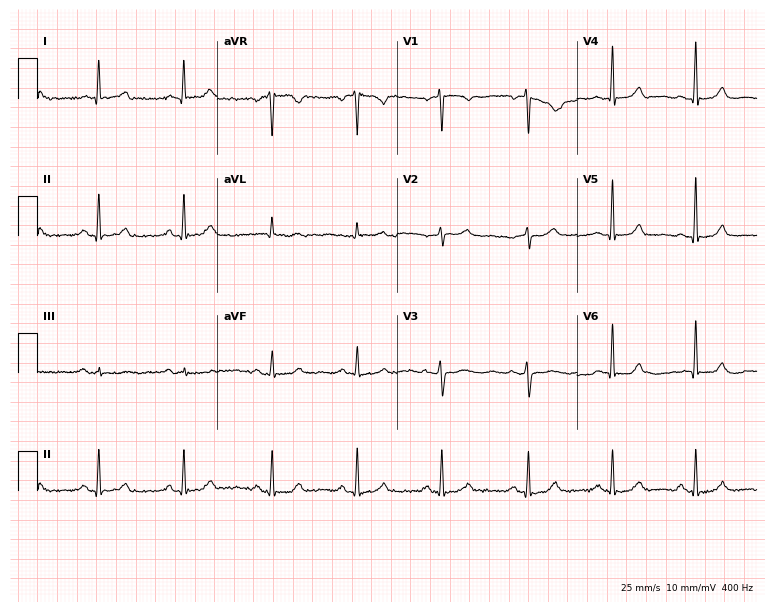
Standard 12-lead ECG recorded from a female patient, 56 years old (7.3-second recording at 400 Hz). Read as a normal ECG.